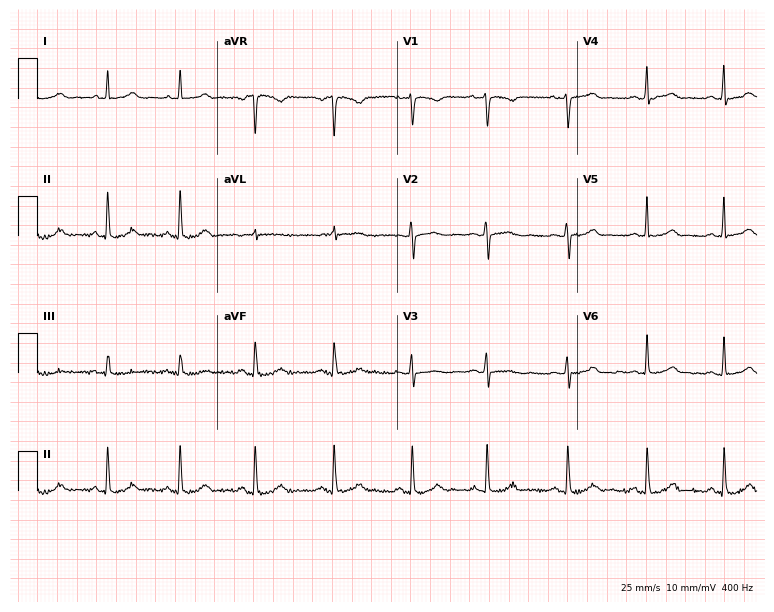
ECG — a female, 26 years old. Labelled as a normal ECG.